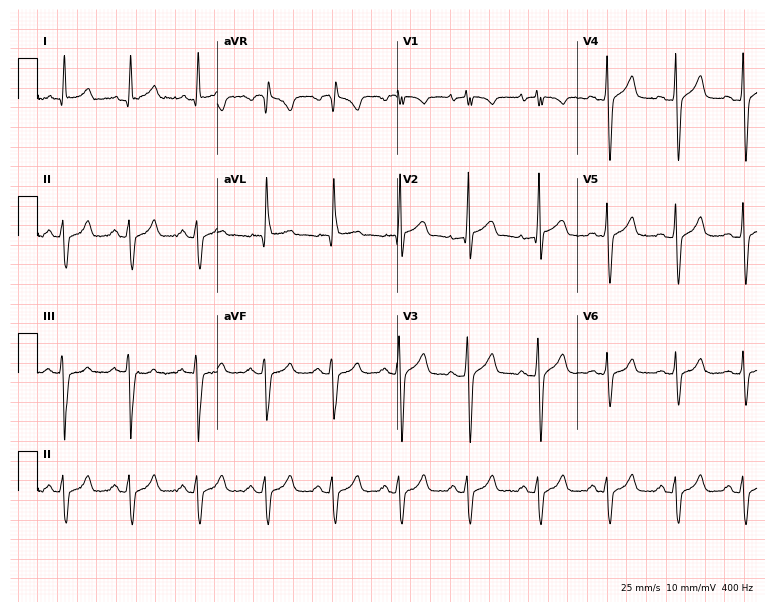
Standard 12-lead ECG recorded from a man, 48 years old (7.3-second recording at 400 Hz). None of these six findings is recorded: first-degree AV block, right bundle branch block (RBBB), left bundle branch block (LBBB), sinus bradycardia, atrial fibrillation (AF), sinus tachycardia.